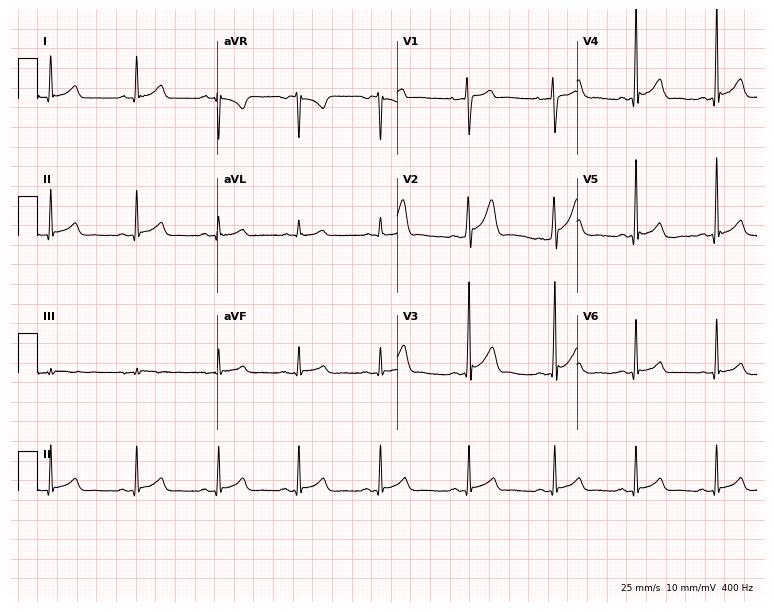
Electrocardiogram (7.3-second recording at 400 Hz), a 20-year-old male patient. Overall reading on record: normal ECG.